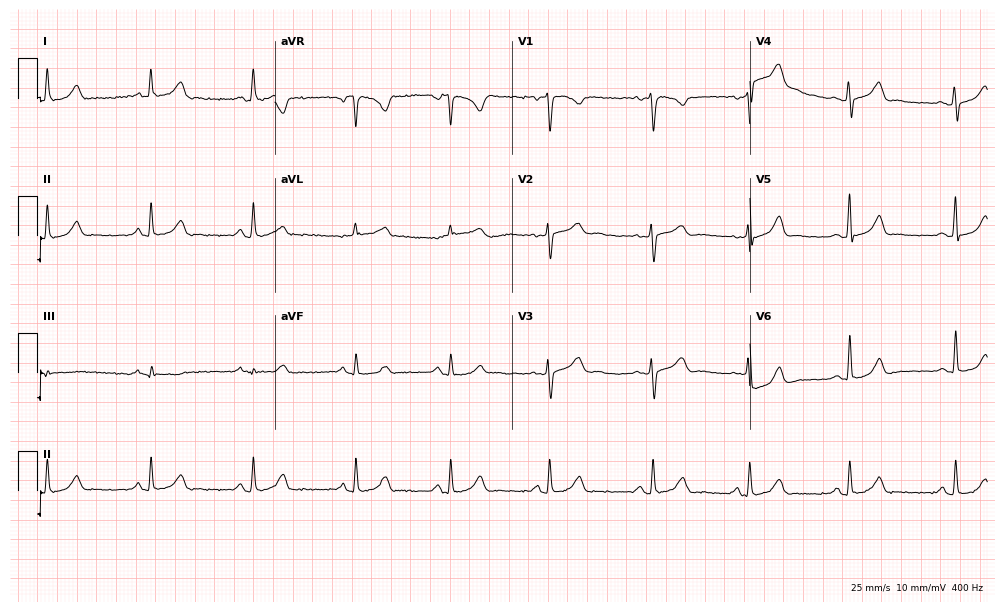
12-lead ECG from a female patient, 39 years old. No first-degree AV block, right bundle branch block (RBBB), left bundle branch block (LBBB), sinus bradycardia, atrial fibrillation (AF) or sinus tachycardia recorded for this tracing. Findings outside these six are not listed.